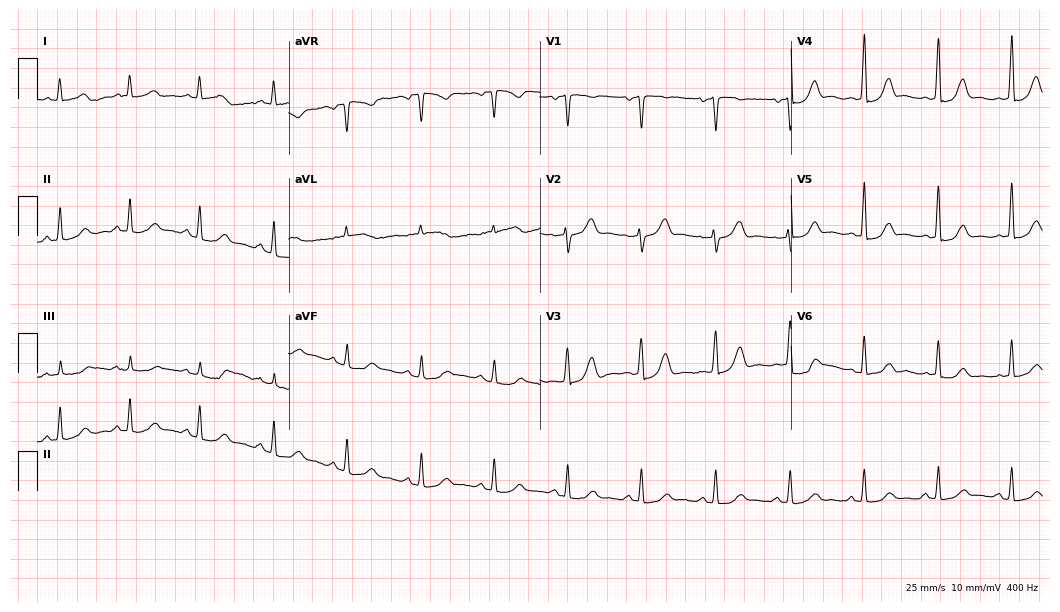
12-lead ECG from a female patient, 54 years old. Labelled as a normal ECG.